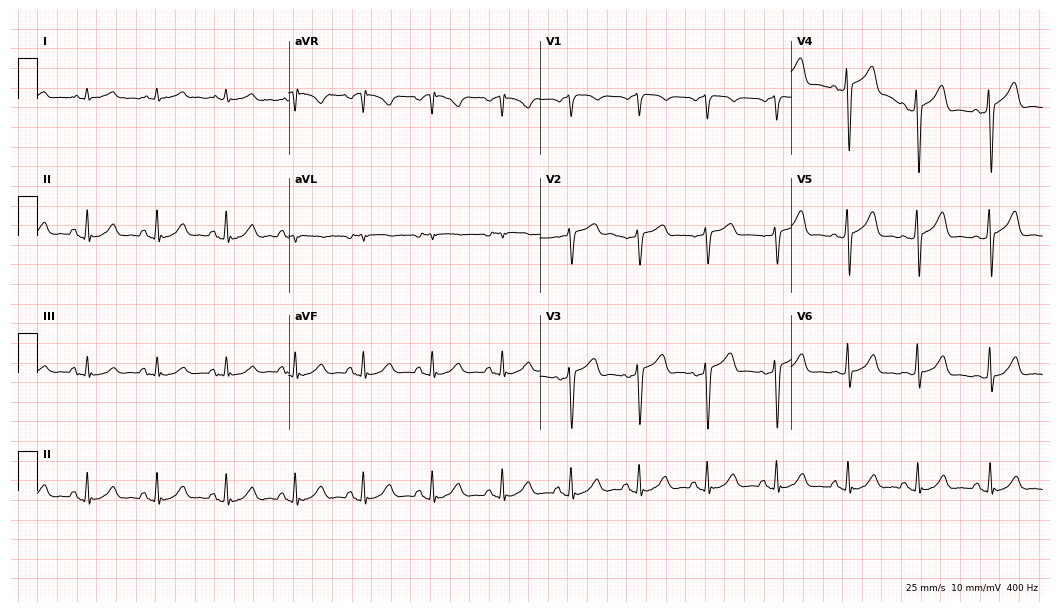
ECG (10.2-second recording at 400 Hz) — a 73-year-old male patient. Labelled as a normal ECG.